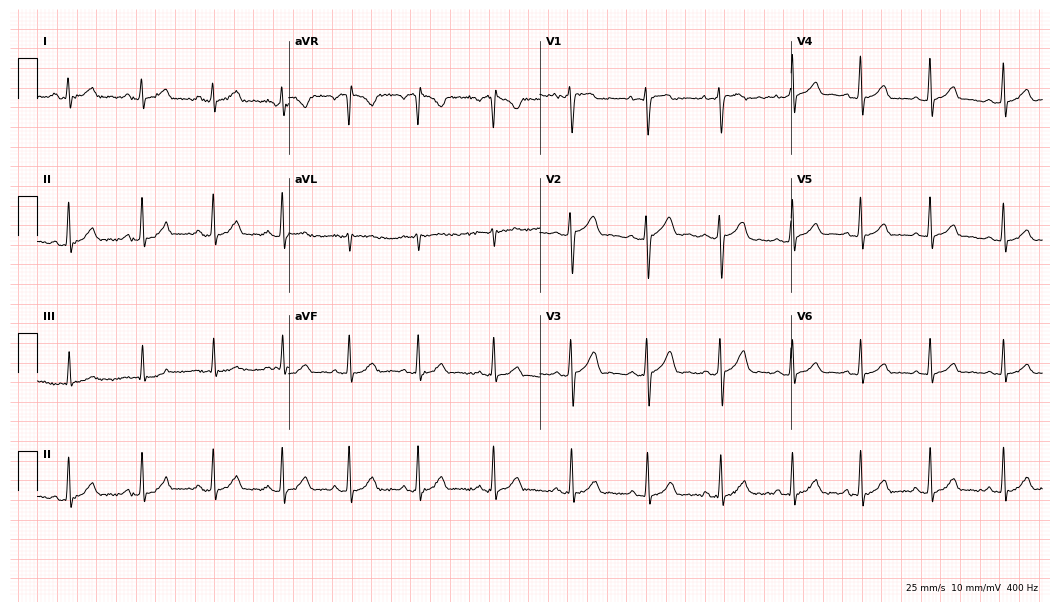
Electrocardiogram (10.2-second recording at 400 Hz), a 17-year-old female patient. Overall reading on record: normal ECG.